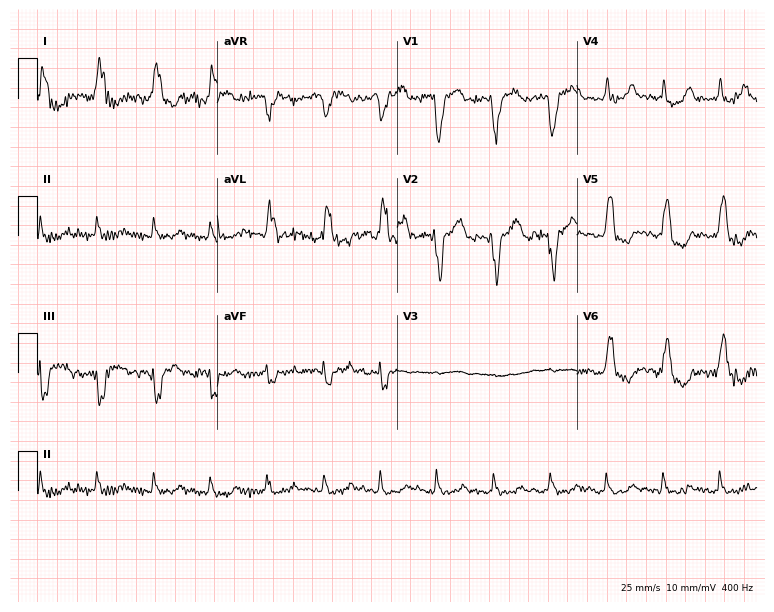
Electrocardiogram (7.3-second recording at 400 Hz), a female patient, 63 years old. Of the six screened findings (first-degree AV block, right bundle branch block, left bundle branch block, sinus bradycardia, atrial fibrillation, sinus tachycardia), none is recorded. Other findings, if any, are not listed.